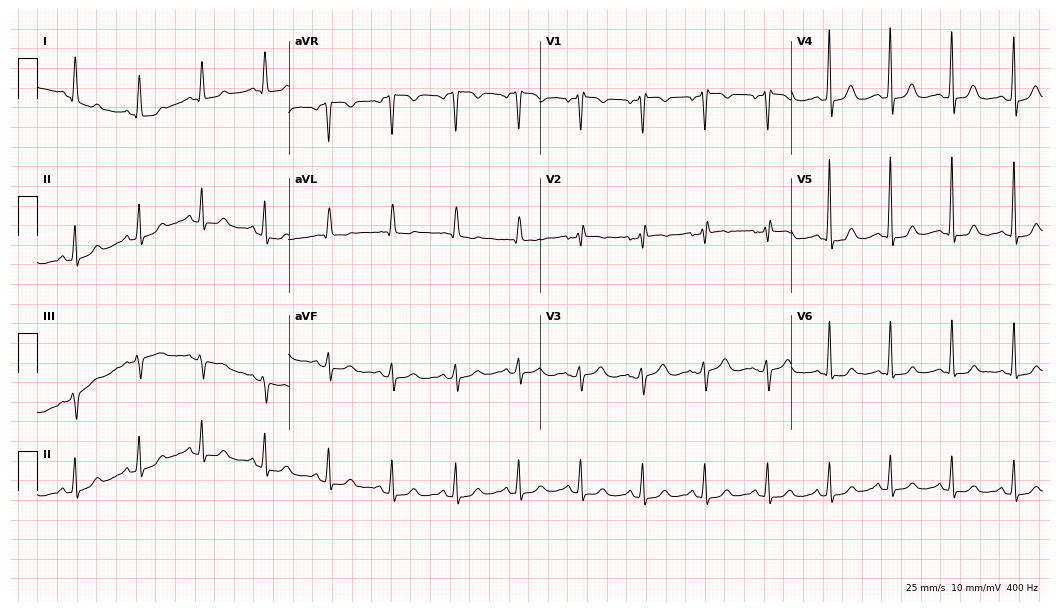
ECG (10.2-second recording at 400 Hz) — a 45-year-old female. Screened for six findings — first-degree AV block, right bundle branch block, left bundle branch block, sinus bradycardia, atrial fibrillation, sinus tachycardia — none is recorded.